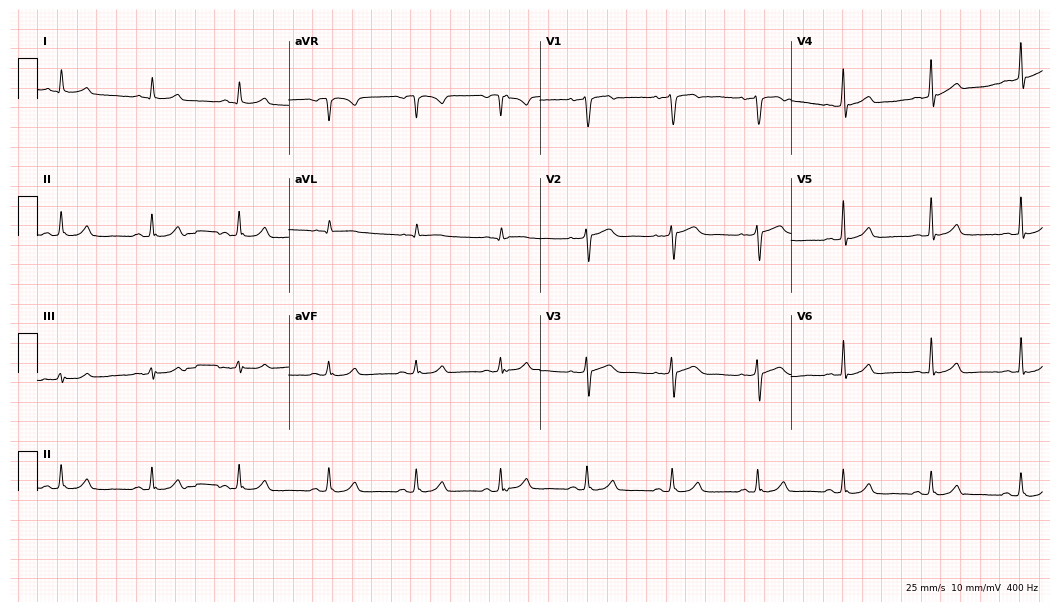
Standard 12-lead ECG recorded from a male, 54 years old (10.2-second recording at 400 Hz). Read as a normal ECG.